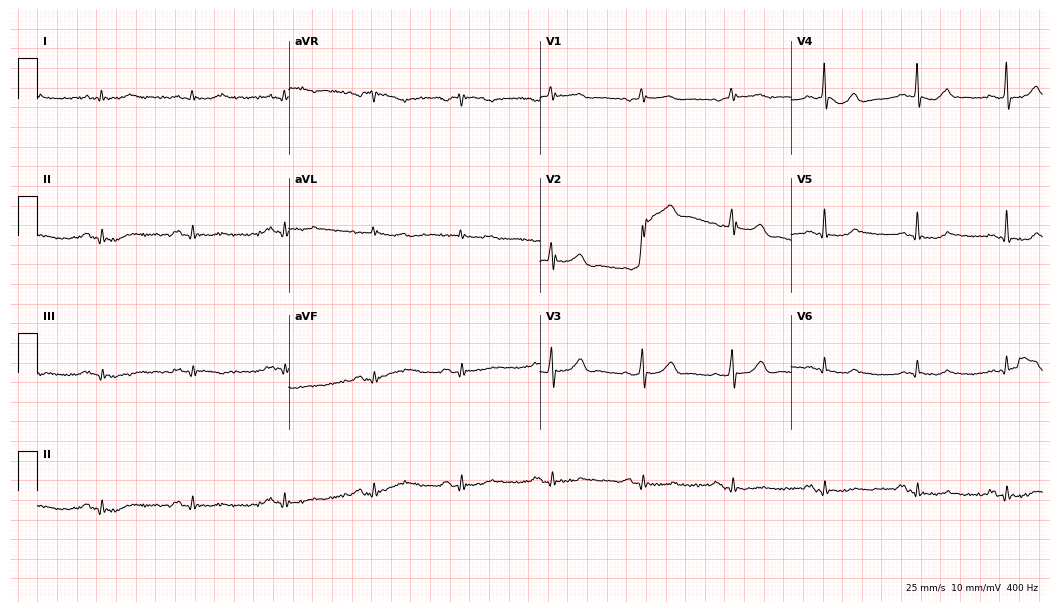
Resting 12-lead electrocardiogram (10.2-second recording at 400 Hz). Patient: a 79-year-old male. None of these six findings is recorded: first-degree AV block, right bundle branch block (RBBB), left bundle branch block (LBBB), sinus bradycardia, atrial fibrillation (AF), sinus tachycardia.